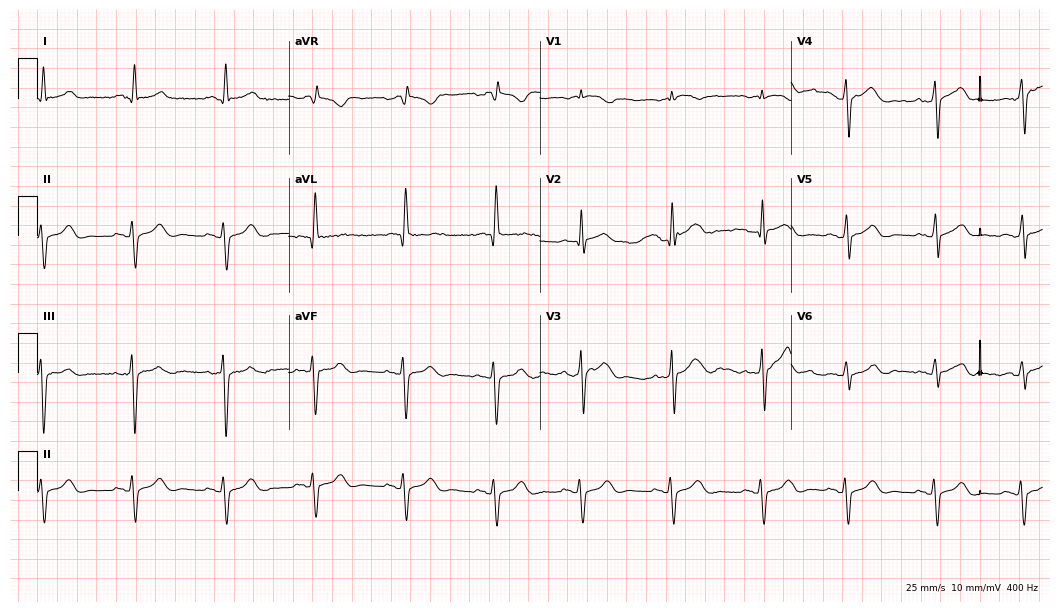
12-lead ECG (10.2-second recording at 400 Hz) from a man, 74 years old. Screened for six findings — first-degree AV block, right bundle branch block, left bundle branch block, sinus bradycardia, atrial fibrillation, sinus tachycardia — none is recorded.